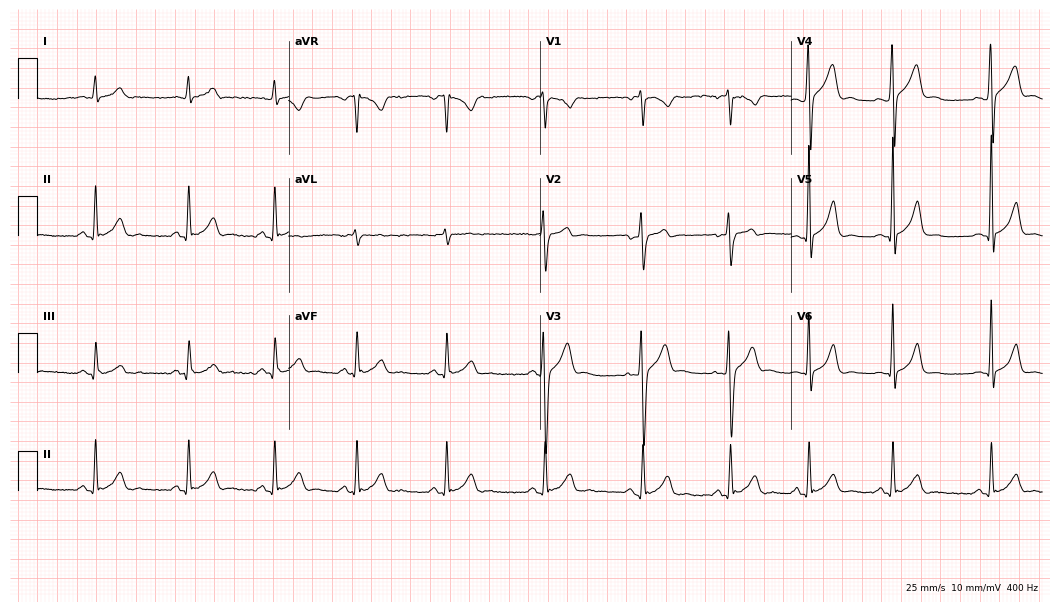
12-lead ECG from a male, 19 years old. Recorded interpretation: within normal limits.